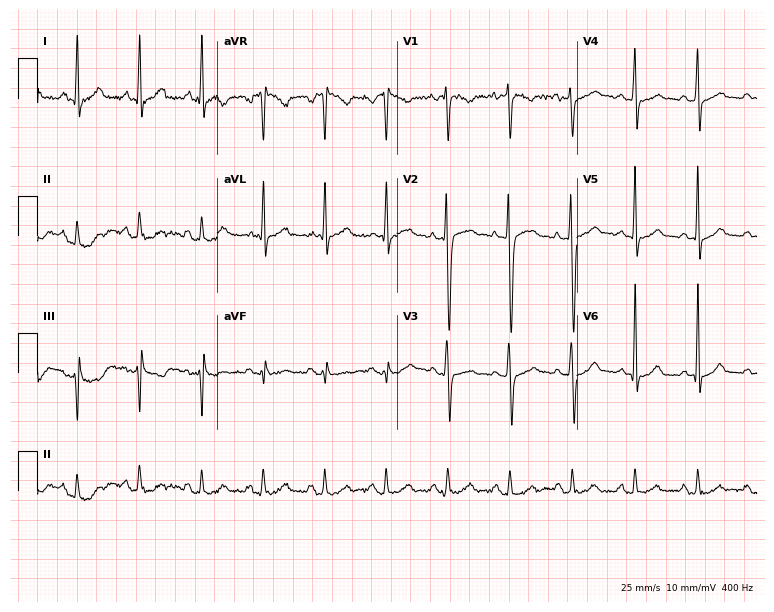
ECG (7.3-second recording at 400 Hz) — a male patient, 32 years old. Labelled as a normal ECG.